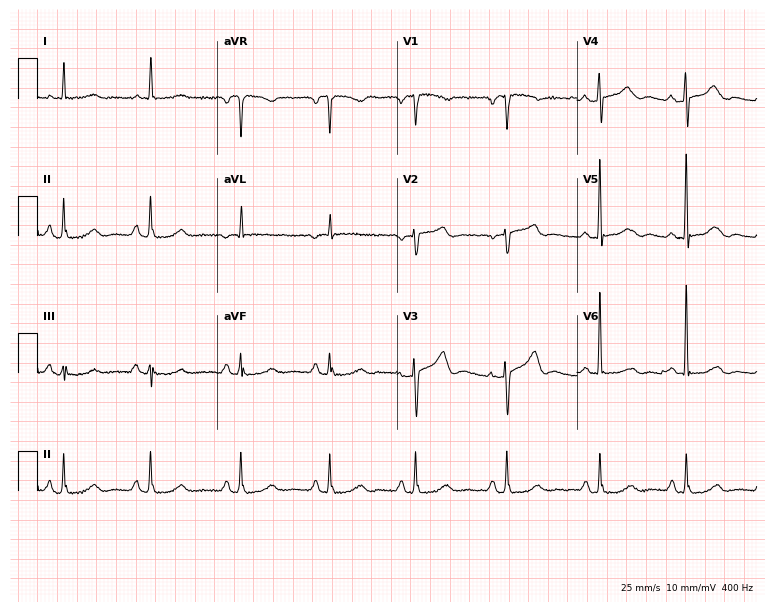
12-lead ECG (7.3-second recording at 400 Hz) from a 59-year-old woman. Screened for six findings — first-degree AV block, right bundle branch block, left bundle branch block, sinus bradycardia, atrial fibrillation, sinus tachycardia — none is recorded. Only these six findings were labelled.